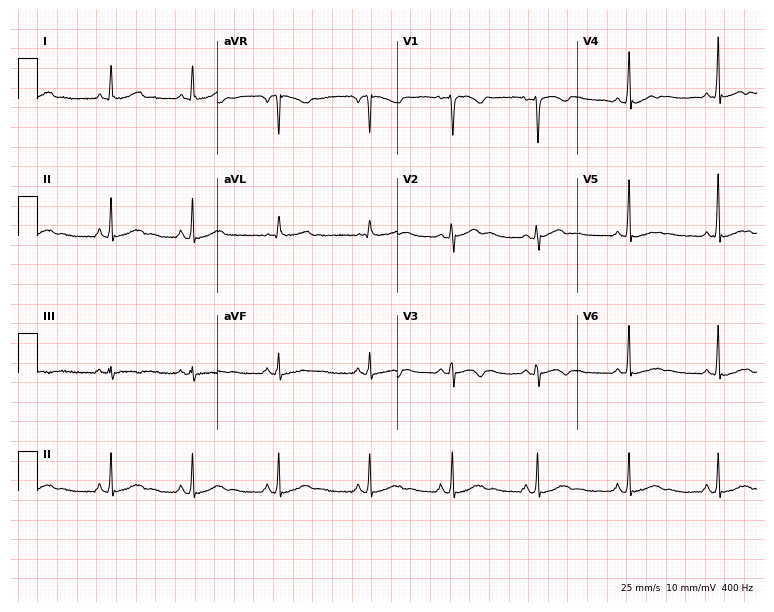
Resting 12-lead electrocardiogram (7.3-second recording at 400 Hz). Patient: a 37-year-old woman. Read as a normal ECG.